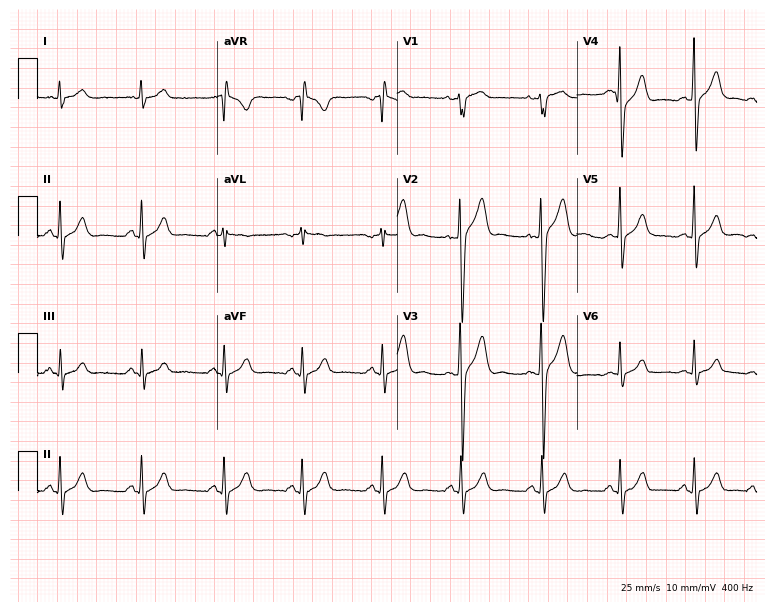
Resting 12-lead electrocardiogram. Patient: a man, 35 years old. Read as a normal ECG.